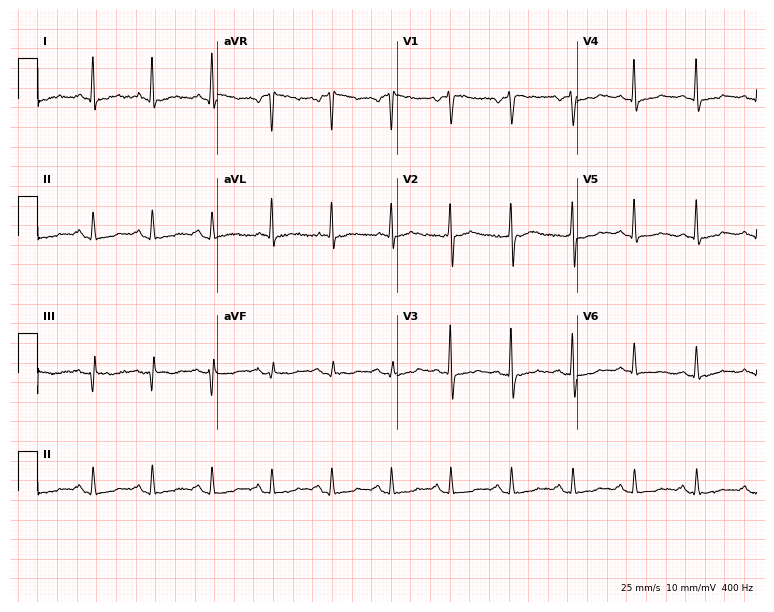
12-lead ECG from a male patient, 49 years old. Screened for six findings — first-degree AV block, right bundle branch block (RBBB), left bundle branch block (LBBB), sinus bradycardia, atrial fibrillation (AF), sinus tachycardia — none is recorded. Other findings, if any, are not listed.